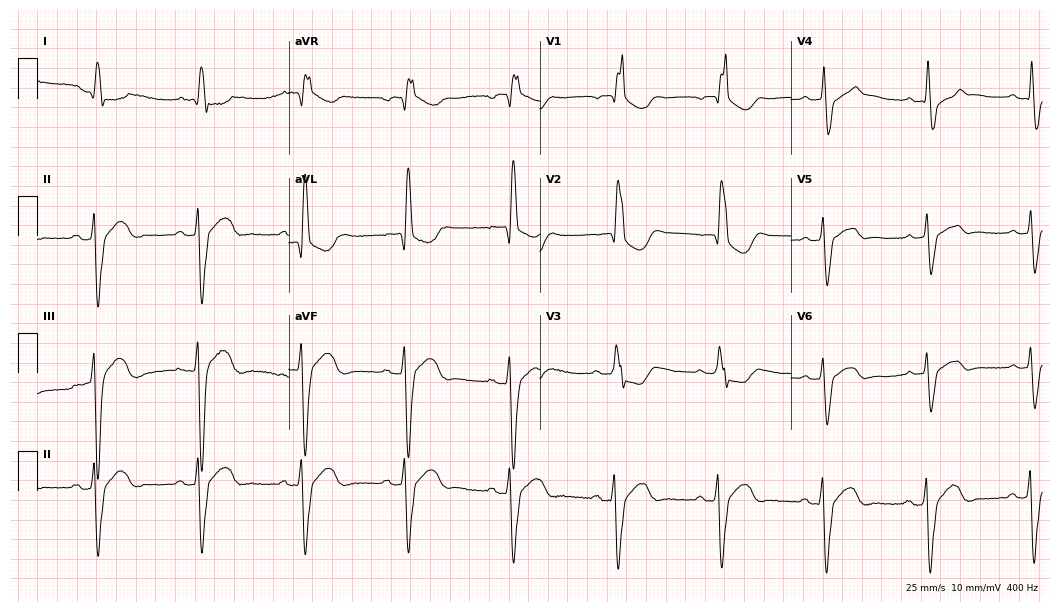
ECG (10.2-second recording at 400 Hz) — an 80-year-old woman. Findings include right bundle branch block.